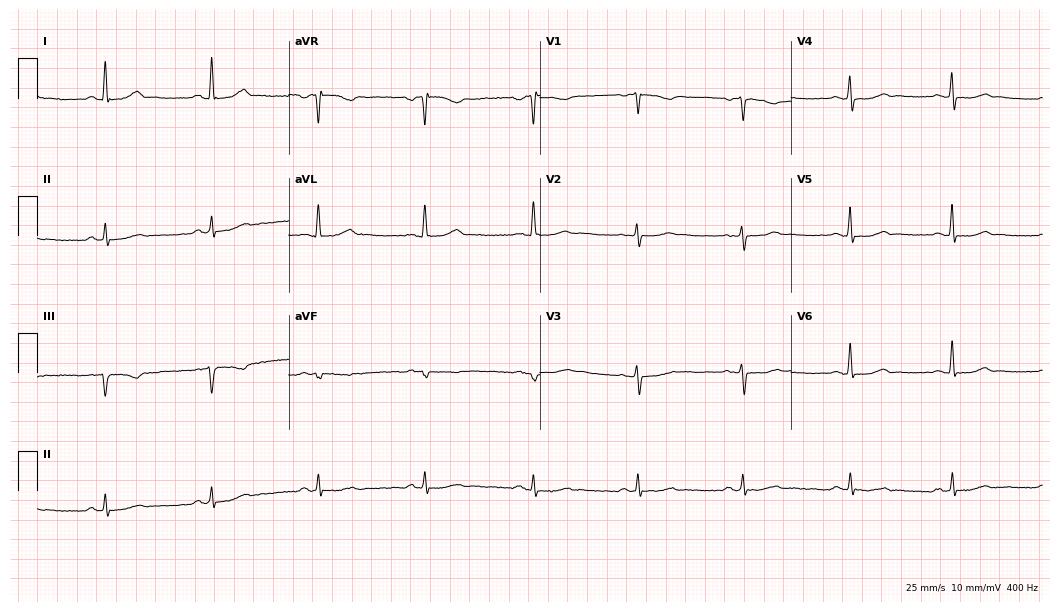
12-lead ECG from a woman, 62 years old. Labelled as a normal ECG.